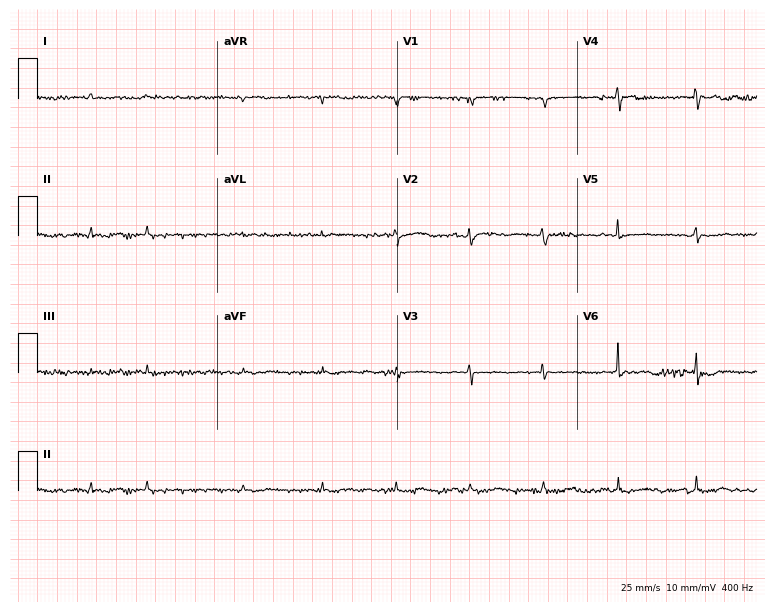
Resting 12-lead electrocardiogram. Patient: a female, 79 years old. None of these six findings is recorded: first-degree AV block, right bundle branch block, left bundle branch block, sinus bradycardia, atrial fibrillation, sinus tachycardia.